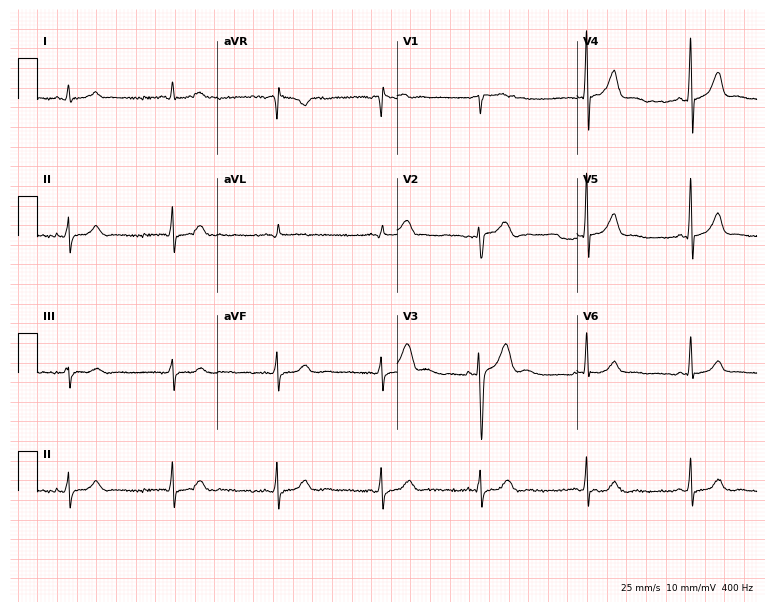
Electrocardiogram (7.3-second recording at 400 Hz), a 77-year-old male. Overall reading on record: normal ECG.